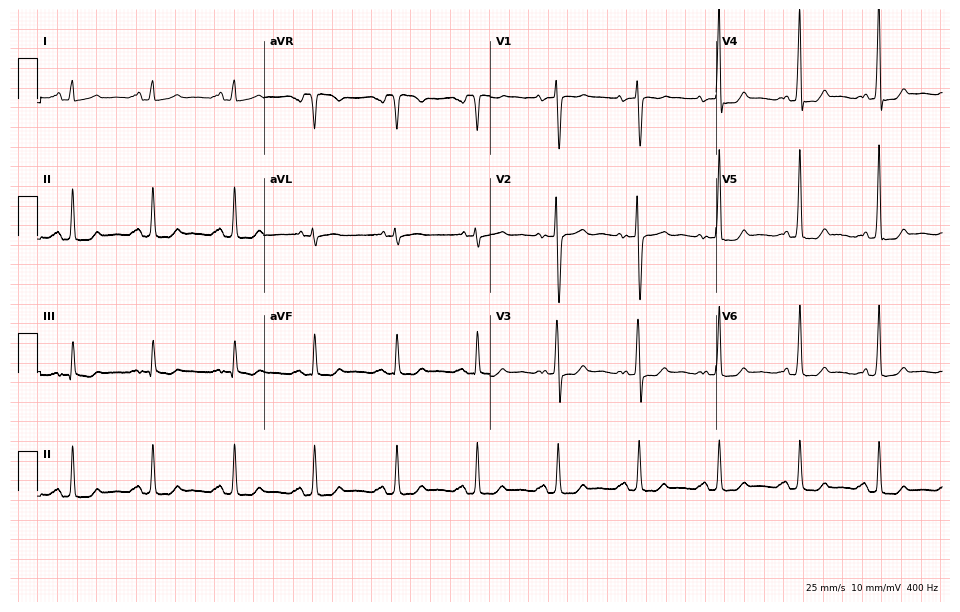
Electrocardiogram, a woman, 37 years old. Of the six screened findings (first-degree AV block, right bundle branch block, left bundle branch block, sinus bradycardia, atrial fibrillation, sinus tachycardia), none is recorded. Only these six findings were labelled.